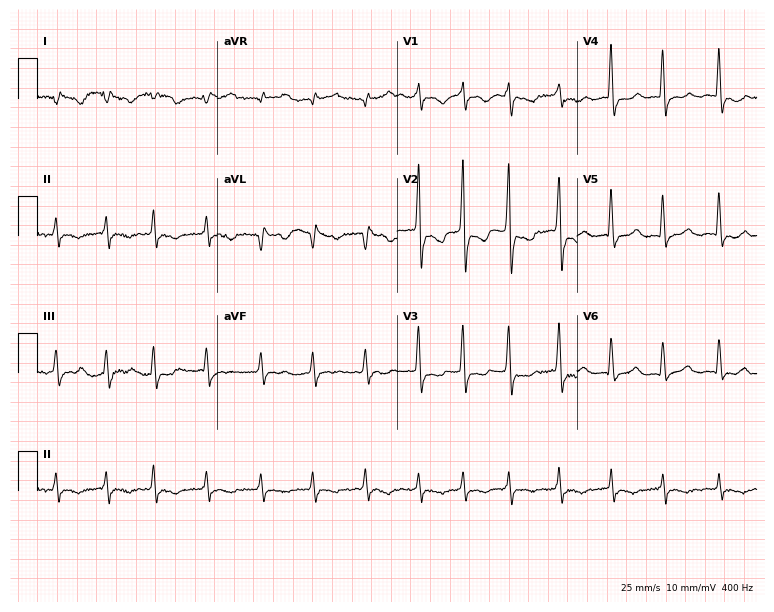
Standard 12-lead ECG recorded from a 79-year-old female patient. None of these six findings is recorded: first-degree AV block, right bundle branch block, left bundle branch block, sinus bradycardia, atrial fibrillation, sinus tachycardia.